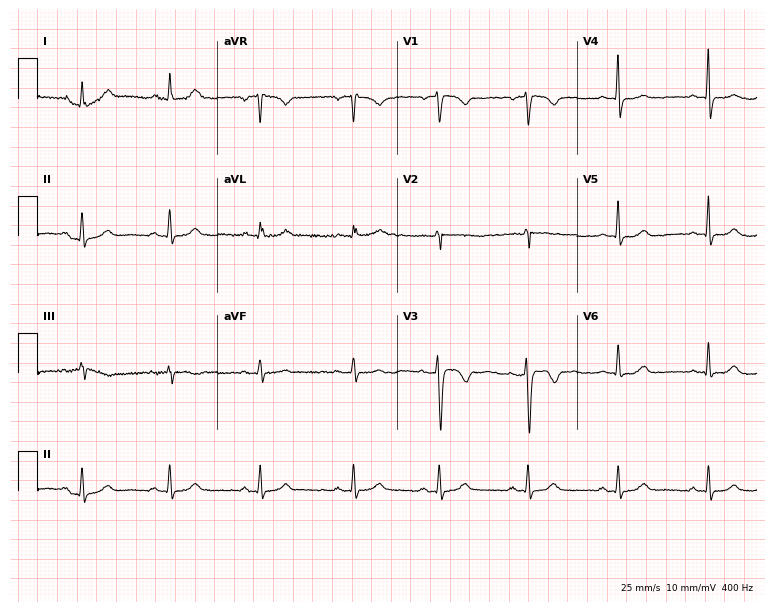
Standard 12-lead ECG recorded from a 46-year-old woman (7.3-second recording at 400 Hz). None of these six findings is recorded: first-degree AV block, right bundle branch block, left bundle branch block, sinus bradycardia, atrial fibrillation, sinus tachycardia. Only these six findings were labelled.